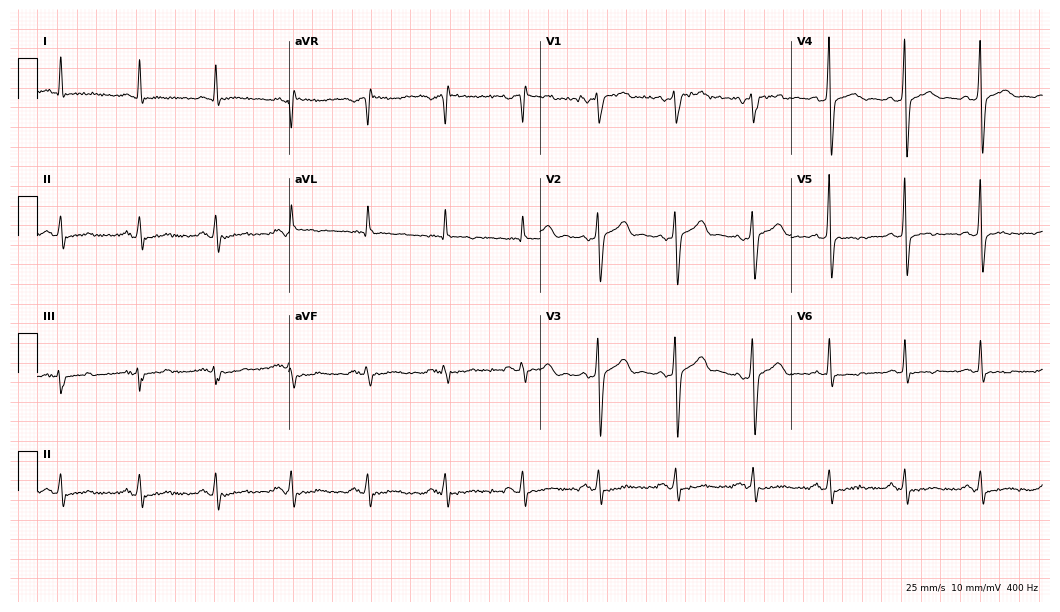
Standard 12-lead ECG recorded from a 50-year-old man. None of these six findings is recorded: first-degree AV block, right bundle branch block (RBBB), left bundle branch block (LBBB), sinus bradycardia, atrial fibrillation (AF), sinus tachycardia. Only these six findings were labelled.